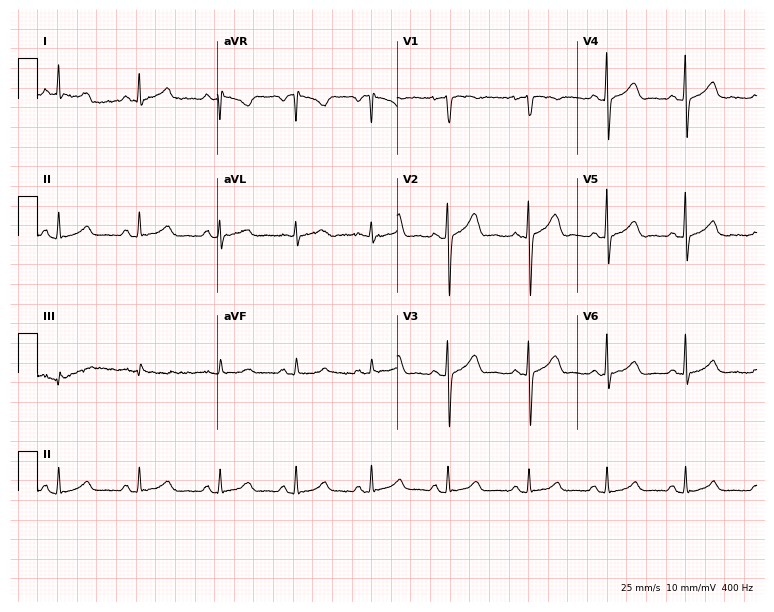
12-lead ECG from a female patient, 35 years old. Labelled as a normal ECG.